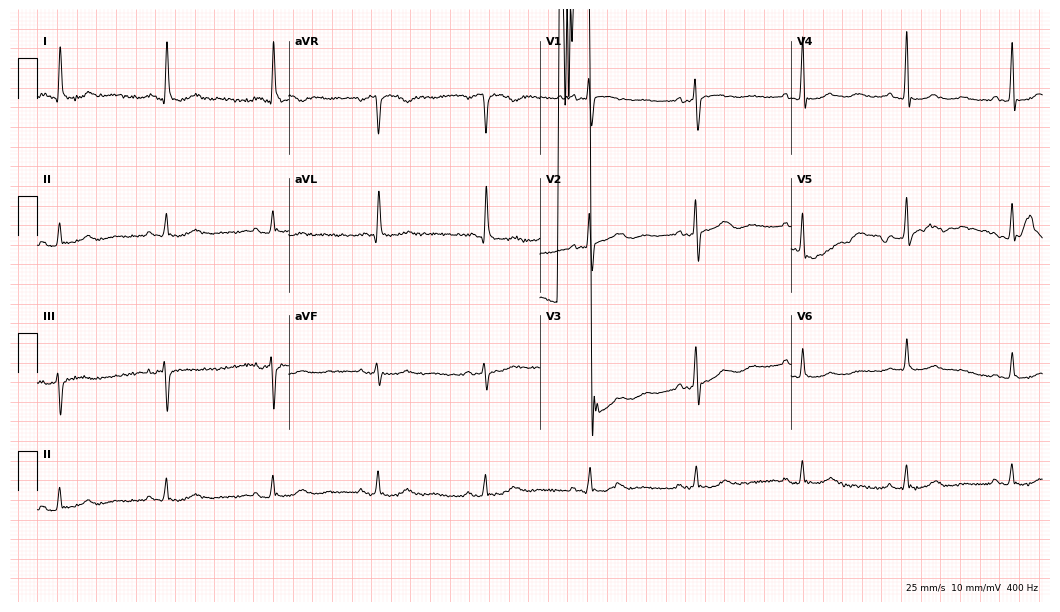
Resting 12-lead electrocardiogram. Patient: a 77-year-old female. None of these six findings is recorded: first-degree AV block, right bundle branch block, left bundle branch block, sinus bradycardia, atrial fibrillation, sinus tachycardia.